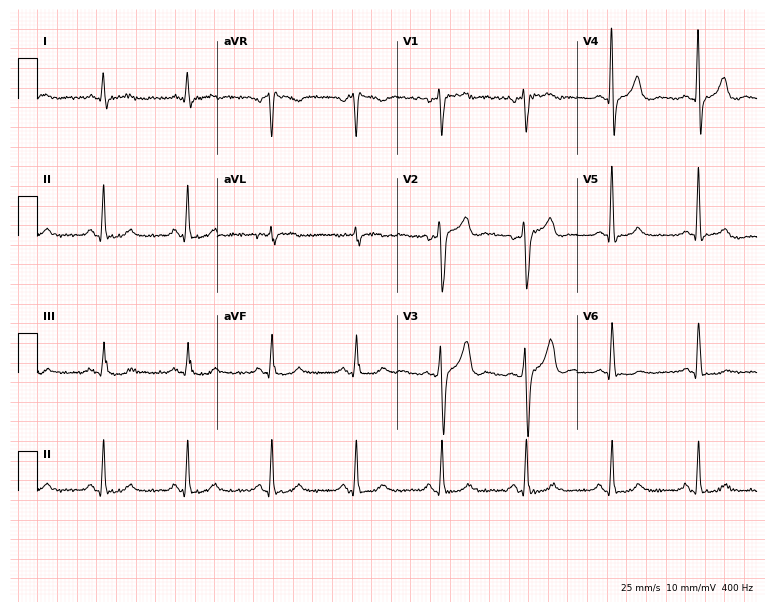
Standard 12-lead ECG recorded from a male, 39 years old. Read as a normal ECG.